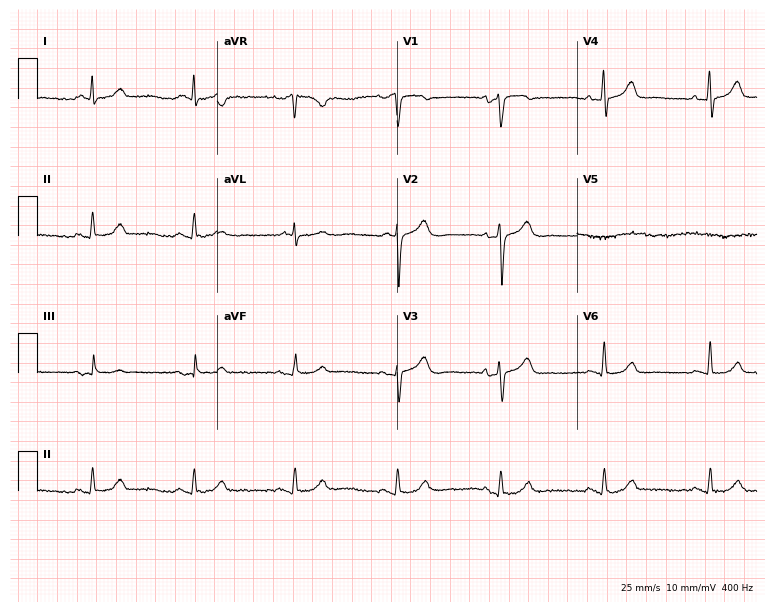
12-lead ECG from an 84-year-old woman. Labelled as a normal ECG.